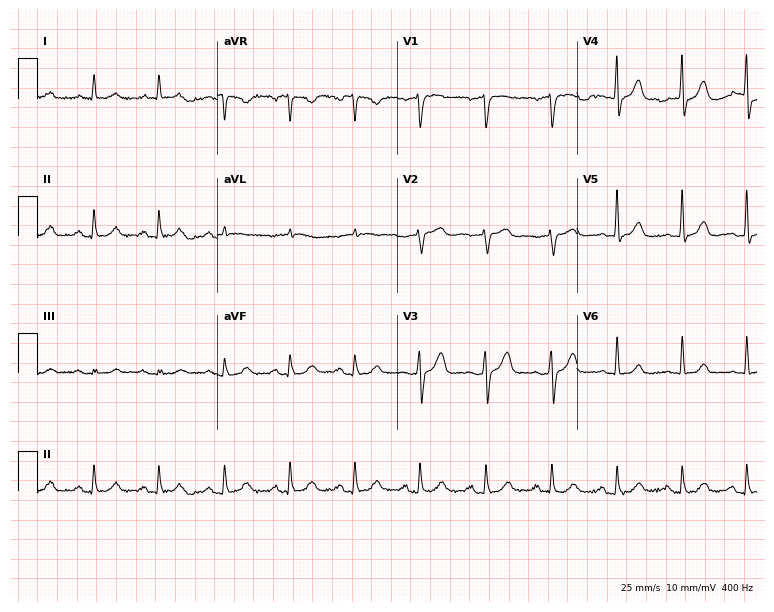
Electrocardiogram (7.3-second recording at 400 Hz), a man, 63 years old. Of the six screened findings (first-degree AV block, right bundle branch block (RBBB), left bundle branch block (LBBB), sinus bradycardia, atrial fibrillation (AF), sinus tachycardia), none is recorded.